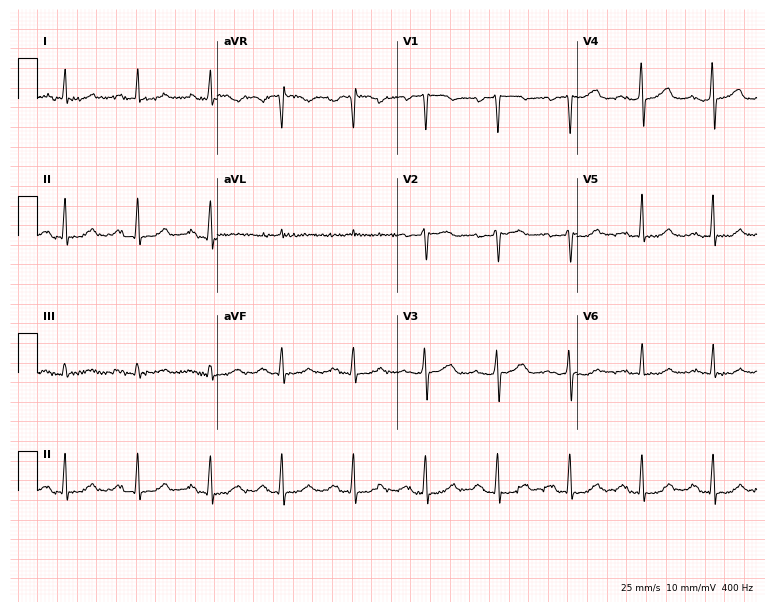
Electrocardiogram (7.3-second recording at 400 Hz), a 58-year-old female patient. Interpretation includes first-degree AV block.